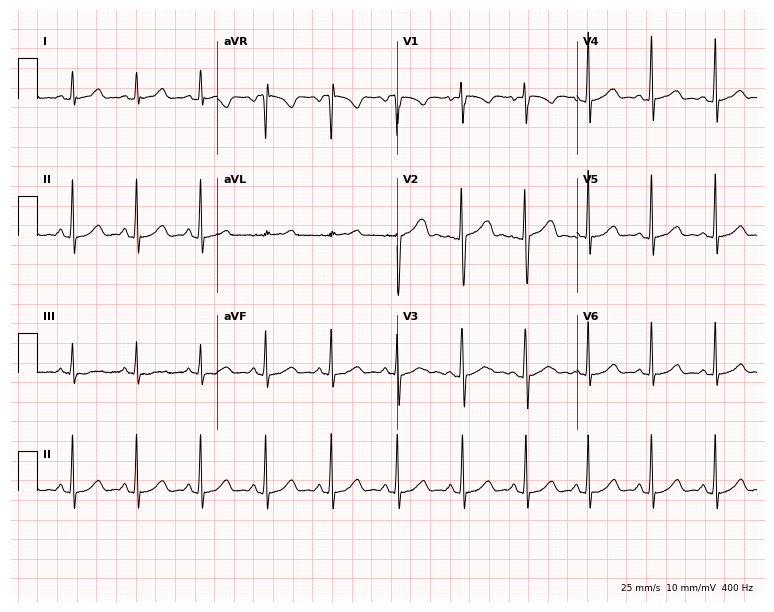
Standard 12-lead ECG recorded from a woman, 31 years old. None of these six findings is recorded: first-degree AV block, right bundle branch block (RBBB), left bundle branch block (LBBB), sinus bradycardia, atrial fibrillation (AF), sinus tachycardia.